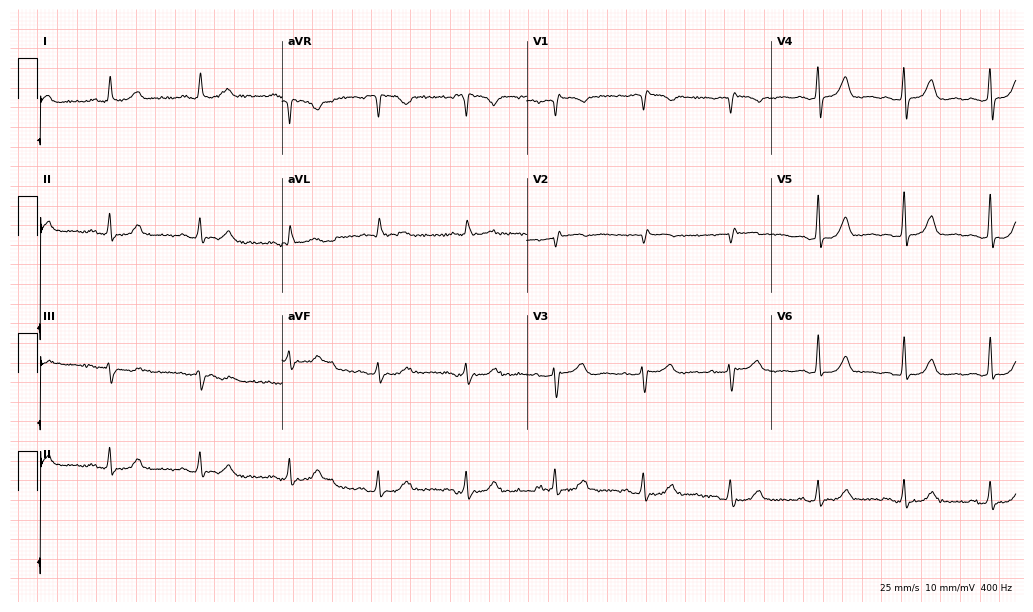
12-lead ECG from a 68-year-old female patient. Labelled as a normal ECG.